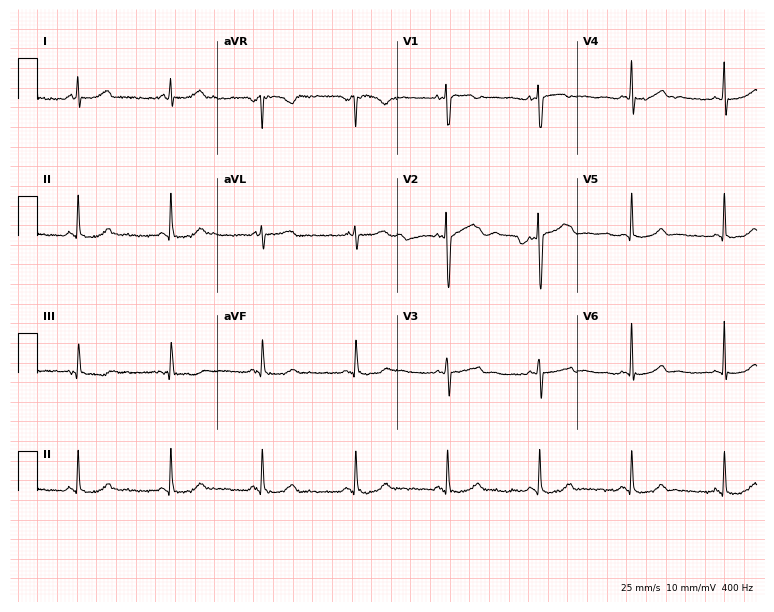
12-lead ECG from a woman, 47 years old (7.3-second recording at 400 Hz). Recorded interpretation: within normal limits.